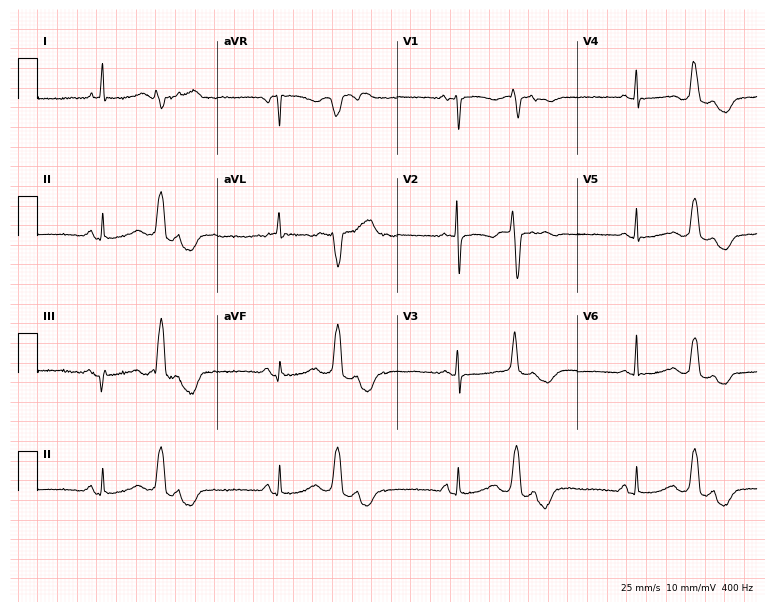
ECG (7.3-second recording at 400 Hz) — a female, 63 years old. Screened for six findings — first-degree AV block, right bundle branch block, left bundle branch block, sinus bradycardia, atrial fibrillation, sinus tachycardia — none is recorded. Findings outside these six are not listed.